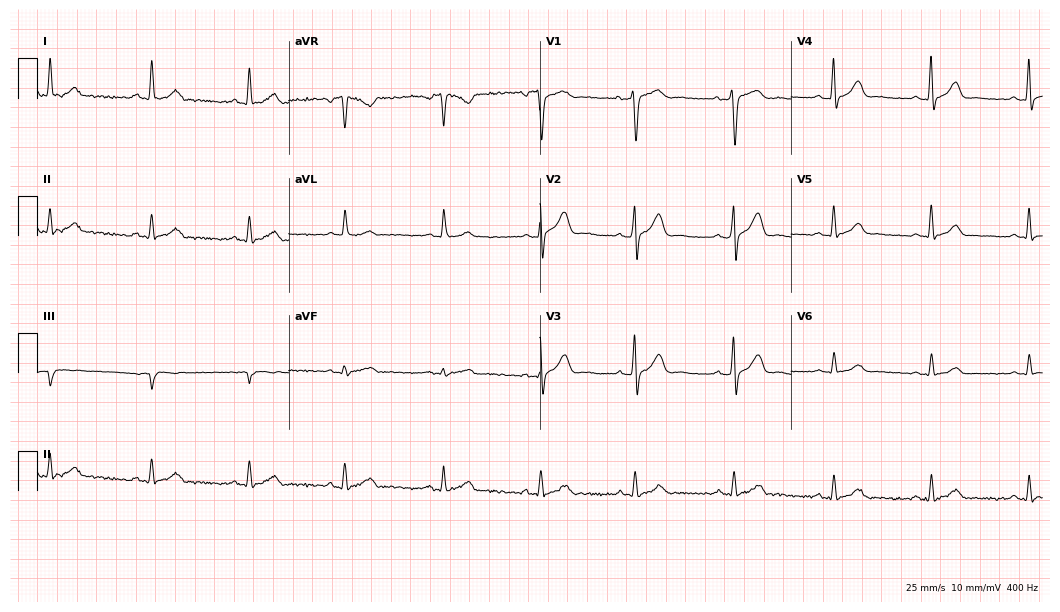
12-lead ECG from a 39-year-old male patient (10.2-second recording at 400 Hz). No first-degree AV block, right bundle branch block (RBBB), left bundle branch block (LBBB), sinus bradycardia, atrial fibrillation (AF) or sinus tachycardia recorded for this tracing. Findings outside these six are not listed.